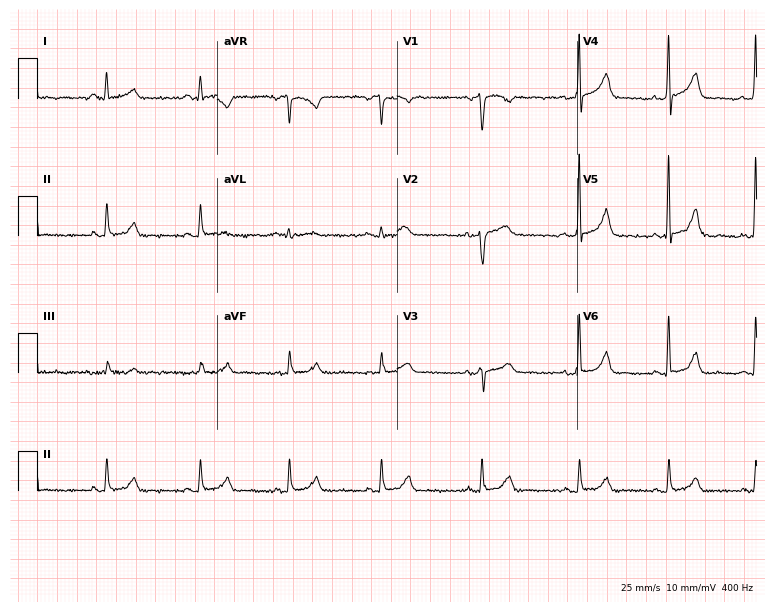
Standard 12-lead ECG recorded from a 50-year-old female. Read as a normal ECG.